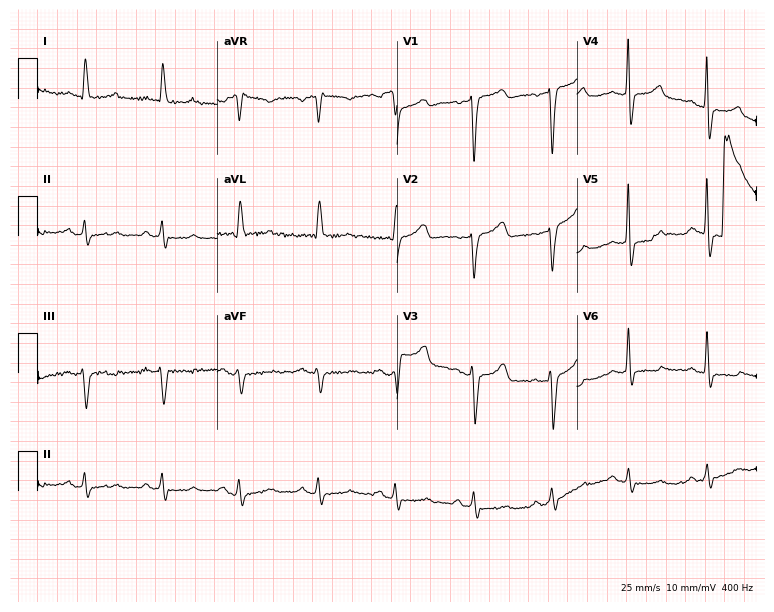
Resting 12-lead electrocardiogram (7.3-second recording at 400 Hz). Patient: a 57-year-old female. None of these six findings is recorded: first-degree AV block, right bundle branch block, left bundle branch block, sinus bradycardia, atrial fibrillation, sinus tachycardia. Only these six findings were labelled.